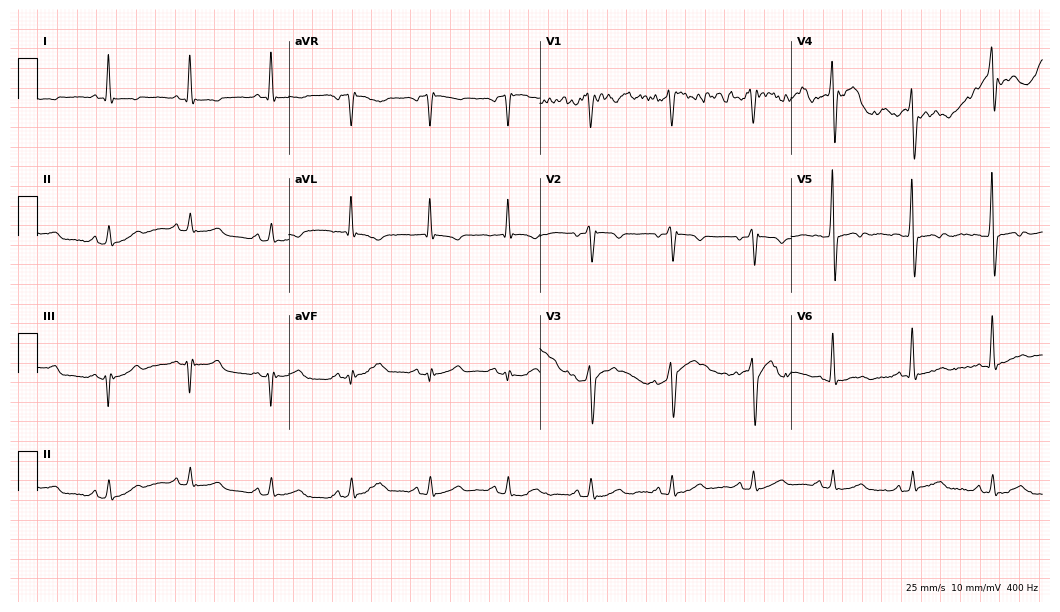
Electrocardiogram (10.2-second recording at 400 Hz), a 62-year-old male. Of the six screened findings (first-degree AV block, right bundle branch block, left bundle branch block, sinus bradycardia, atrial fibrillation, sinus tachycardia), none is recorded. Other findings, if any, are not listed.